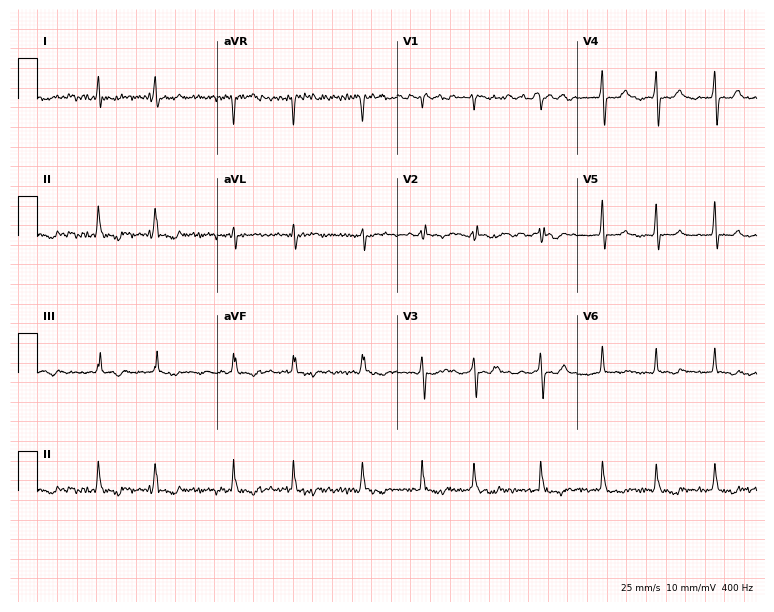
12-lead ECG from a female patient, 42 years old. Findings include atrial fibrillation.